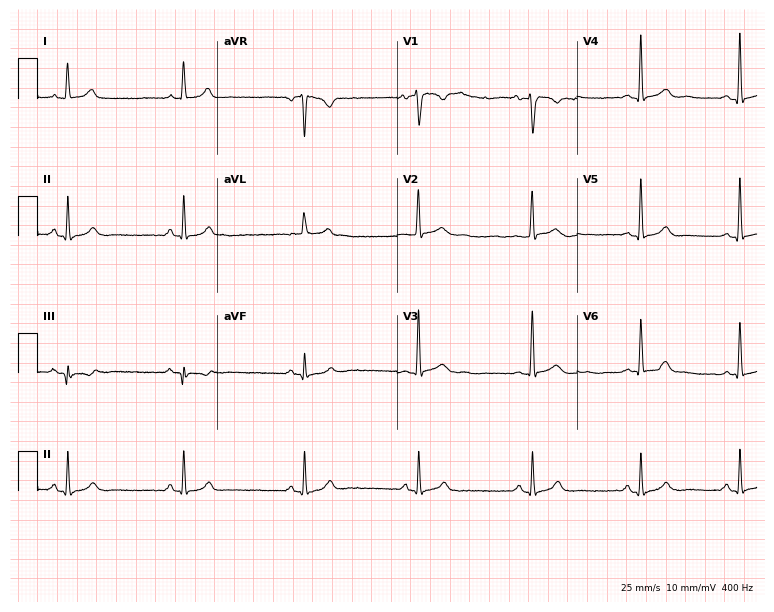
Electrocardiogram (7.3-second recording at 400 Hz), a 34-year-old female. Of the six screened findings (first-degree AV block, right bundle branch block (RBBB), left bundle branch block (LBBB), sinus bradycardia, atrial fibrillation (AF), sinus tachycardia), none is recorded. Findings outside these six are not listed.